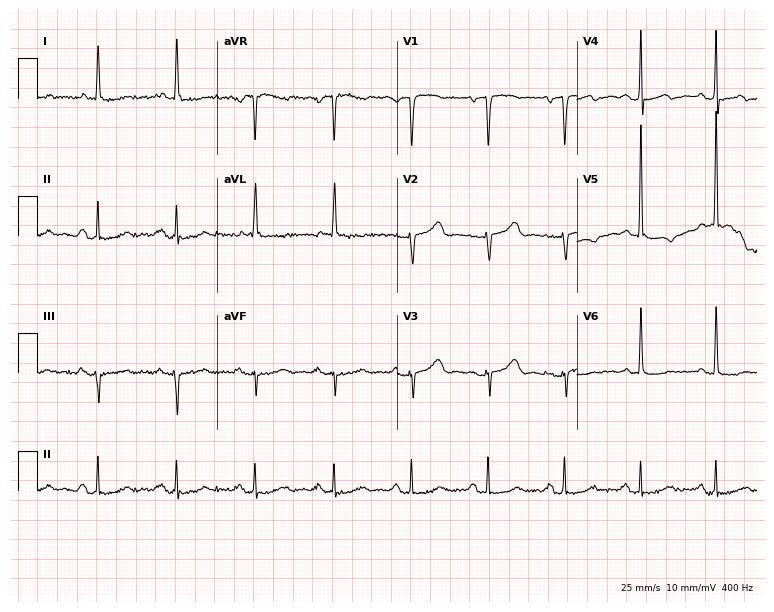
Electrocardiogram, a 78-year-old female. Of the six screened findings (first-degree AV block, right bundle branch block (RBBB), left bundle branch block (LBBB), sinus bradycardia, atrial fibrillation (AF), sinus tachycardia), none is recorded. Only these six findings were labelled.